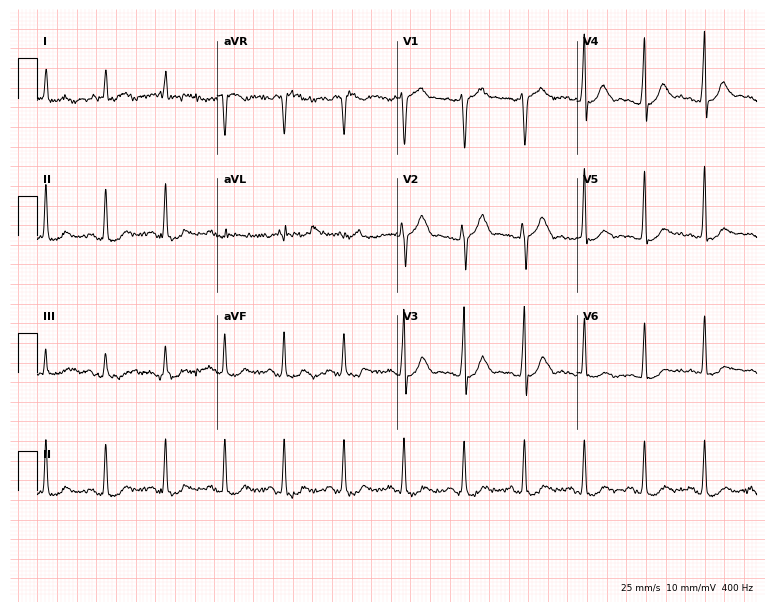
12-lead ECG (7.3-second recording at 400 Hz) from a male, 71 years old. Screened for six findings — first-degree AV block, right bundle branch block, left bundle branch block, sinus bradycardia, atrial fibrillation, sinus tachycardia — none is recorded. Other findings, if any, are not listed.